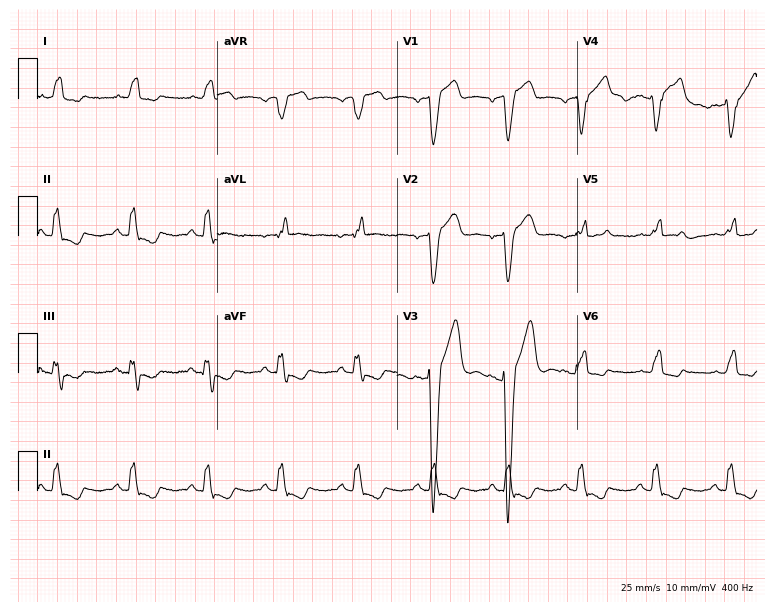
Resting 12-lead electrocardiogram (7.3-second recording at 400 Hz). Patient: a man, 56 years old. The tracing shows left bundle branch block.